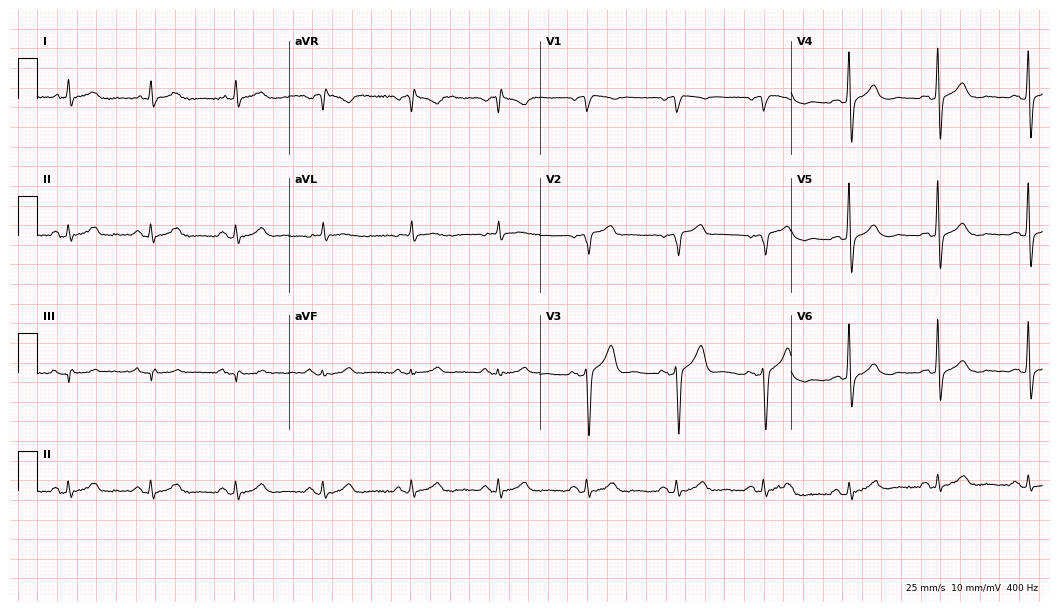
Electrocardiogram, an 83-year-old female patient. Of the six screened findings (first-degree AV block, right bundle branch block, left bundle branch block, sinus bradycardia, atrial fibrillation, sinus tachycardia), none is recorded.